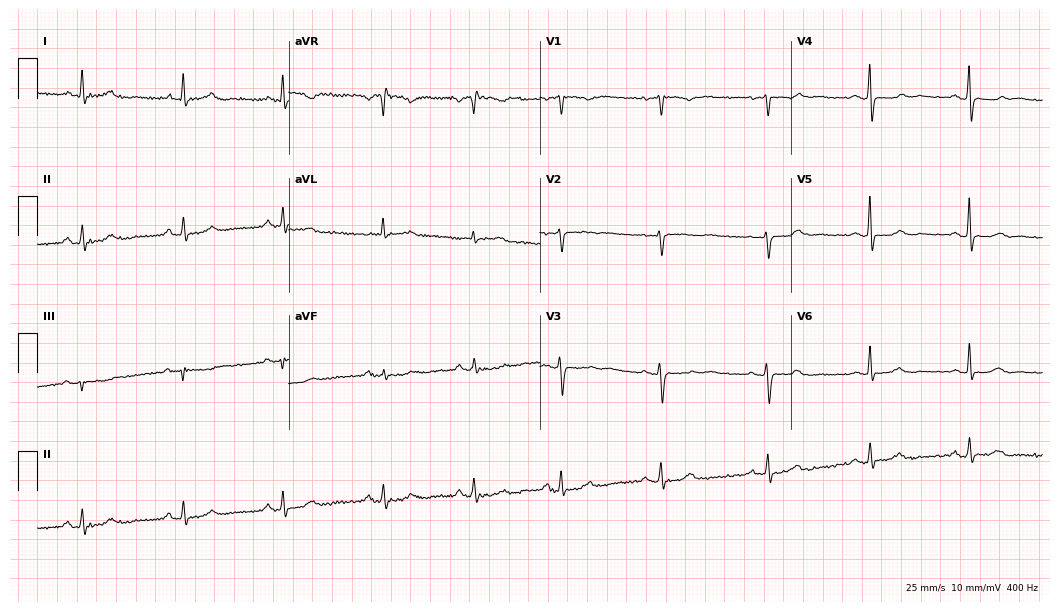
12-lead ECG from a female, 59 years old (10.2-second recording at 400 Hz). No first-degree AV block, right bundle branch block, left bundle branch block, sinus bradycardia, atrial fibrillation or sinus tachycardia recorded for this tracing. Other findings, if any, are not listed.